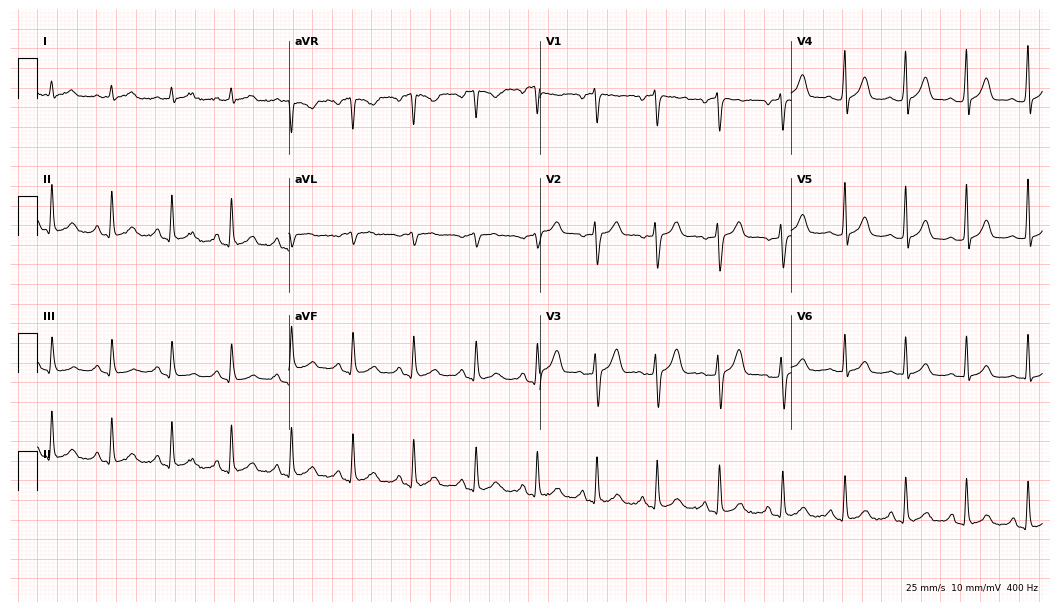
Resting 12-lead electrocardiogram. Patient: a male, 22 years old. Read as a normal ECG.